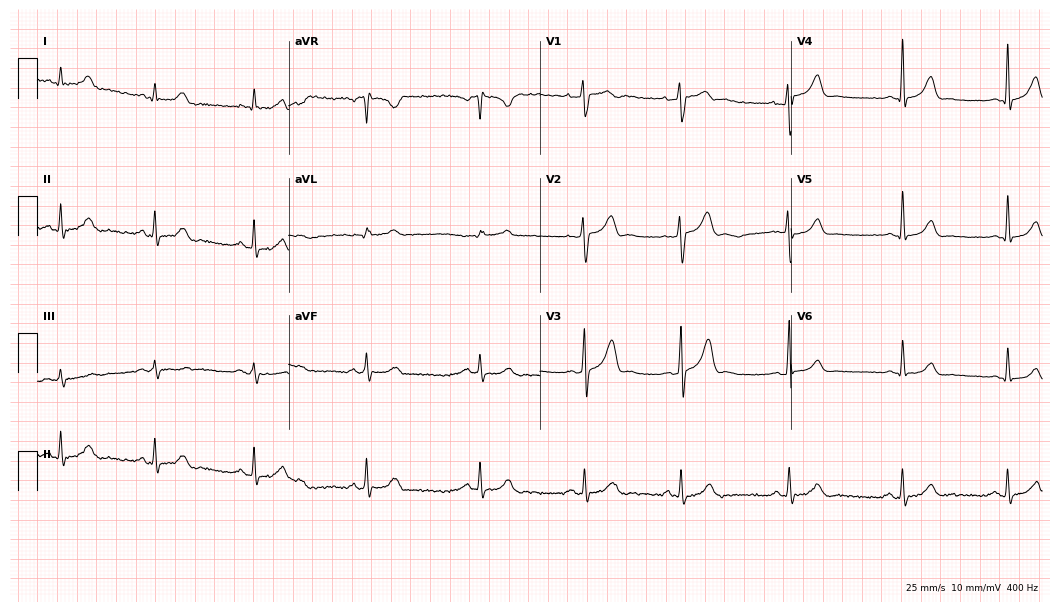
12-lead ECG from a 30-year-old male (10.2-second recording at 400 Hz). Recorded interpretation: within normal limits.